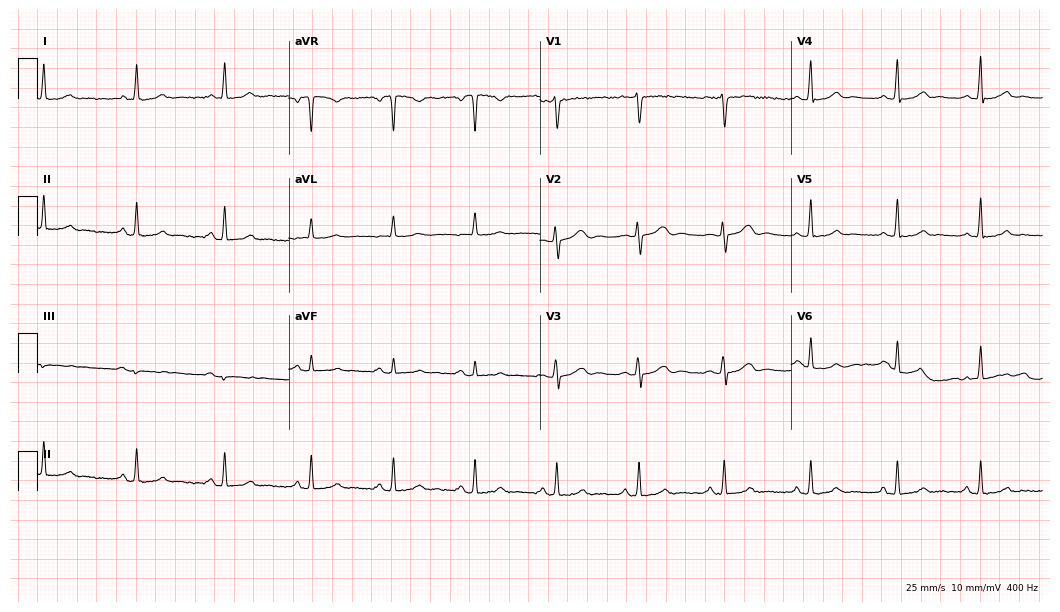
Standard 12-lead ECG recorded from a 41-year-old female patient. None of these six findings is recorded: first-degree AV block, right bundle branch block, left bundle branch block, sinus bradycardia, atrial fibrillation, sinus tachycardia. Findings outside these six are not listed.